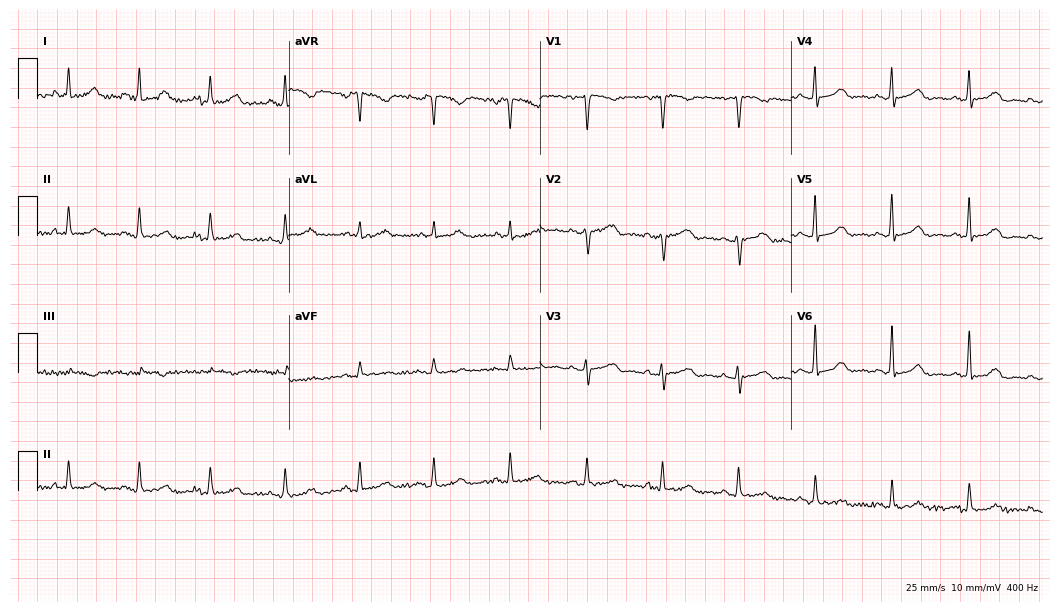
Standard 12-lead ECG recorded from a 47-year-old woman. Read as a normal ECG.